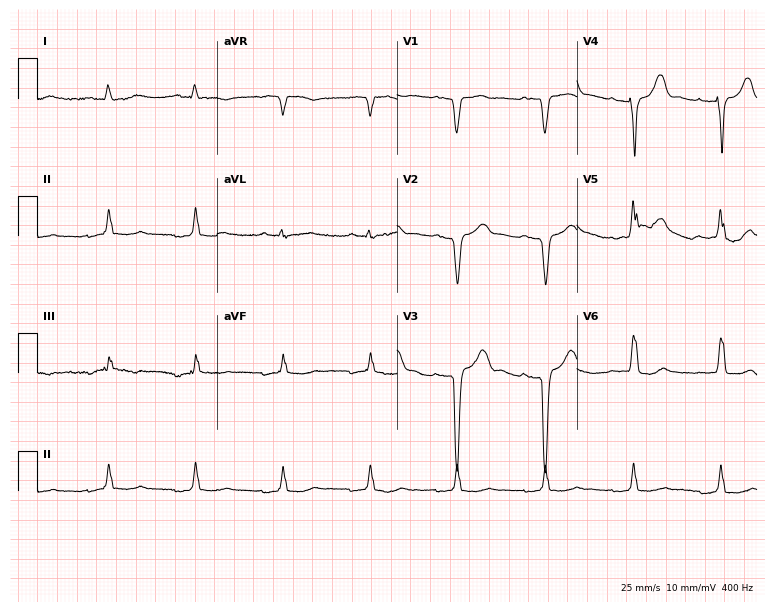
Electrocardiogram (7.3-second recording at 400 Hz), a male patient, 72 years old. Of the six screened findings (first-degree AV block, right bundle branch block, left bundle branch block, sinus bradycardia, atrial fibrillation, sinus tachycardia), none is recorded.